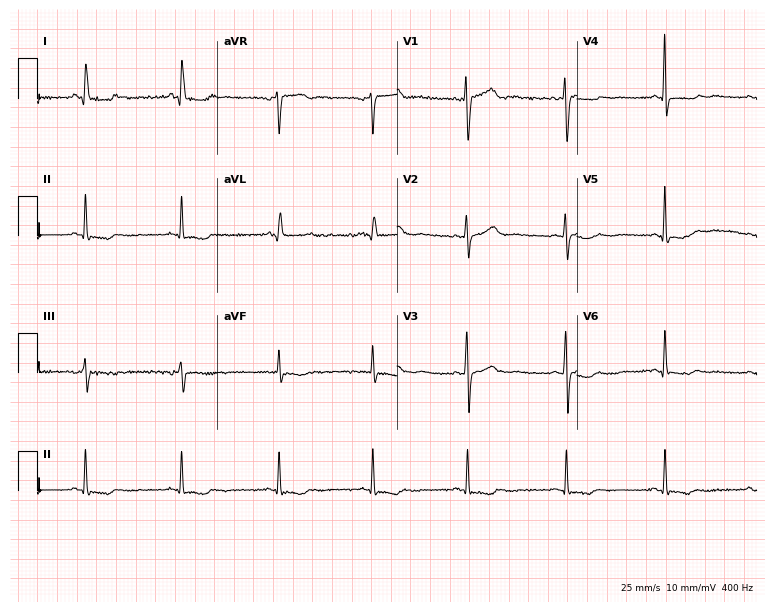
Resting 12-lead electrocardiogram (7.3-second recording at 400 Hz). Patient: a female, 44 years old. None of these six findings is recorded: first-degree AV block, right bundle branch block, left bundle branch block, sinus bradycardia, atrial fibrillation, sinus tachycardia. Other findings, if any, are not listed.